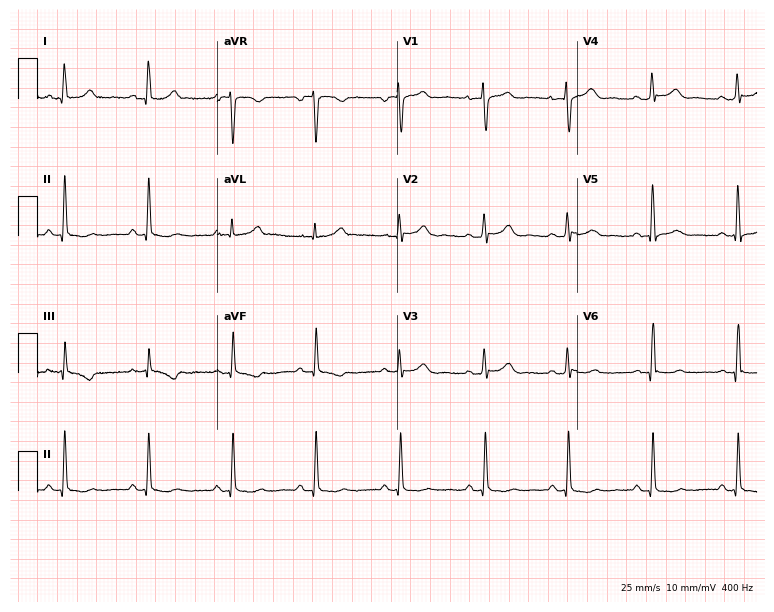
Electrocardiogram, a 49-year-old female. Overall reading on record: normal ECG.